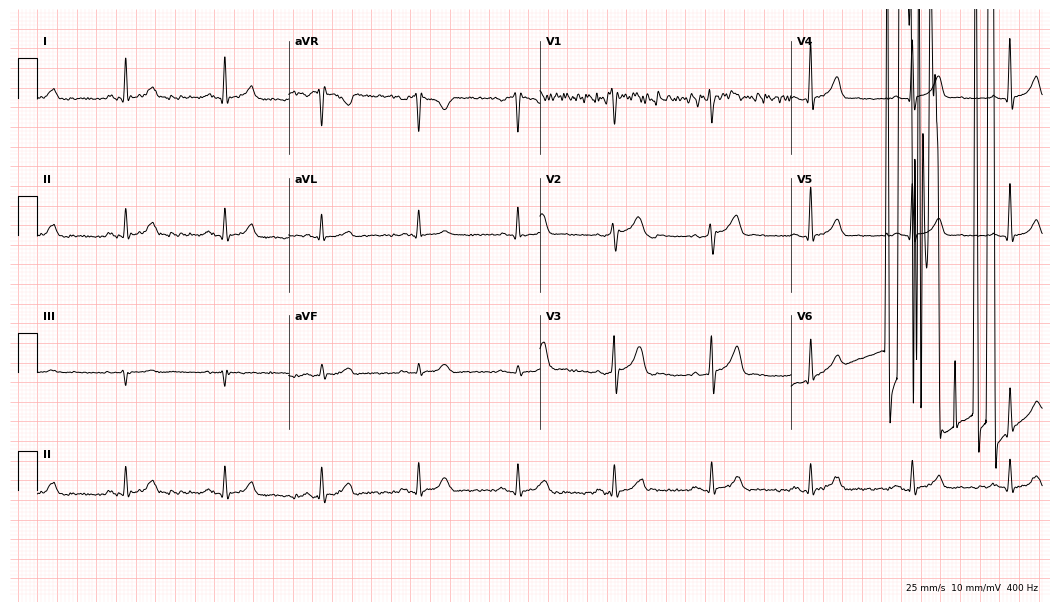
Resting 12-lead electrocardiogram (10.2-second recording at 400 Hz). Patient: a 51-year-old man. None of these six findings is recorded: first-degree AV block, right bundle branch block, left bundle branch block, sinus bradycardia, atrial fibrillation, sinus tachycardia. Findings outside these six are not listed.